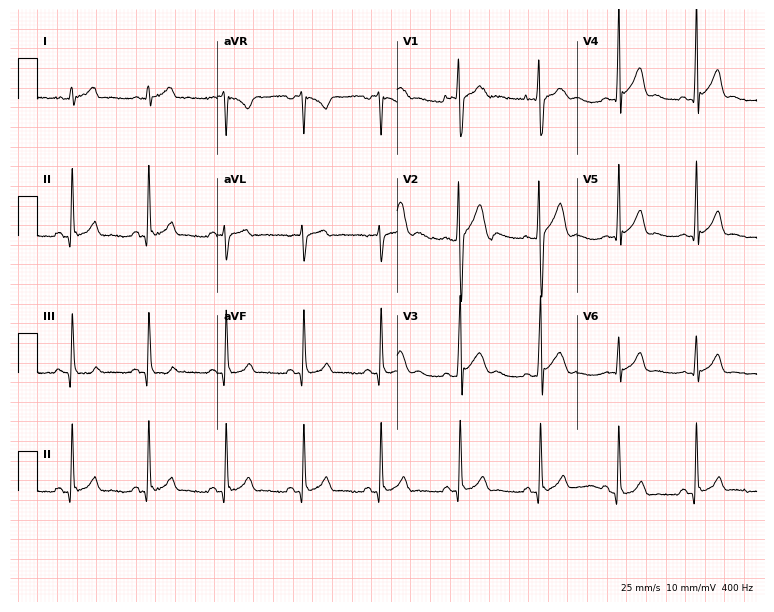
Resting 12-lead electrocardiogram (7.3-second recording at 400 Hz). Patient: an 18-year-old man. Read as a normal ECG.